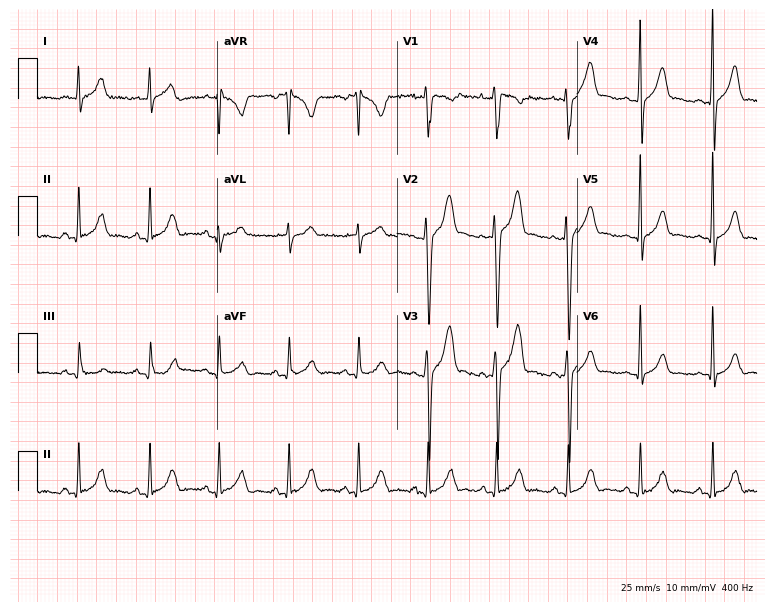
Standard 12-lead ECG recorded from a 28-year-old male patient. Read as a normal ECG.